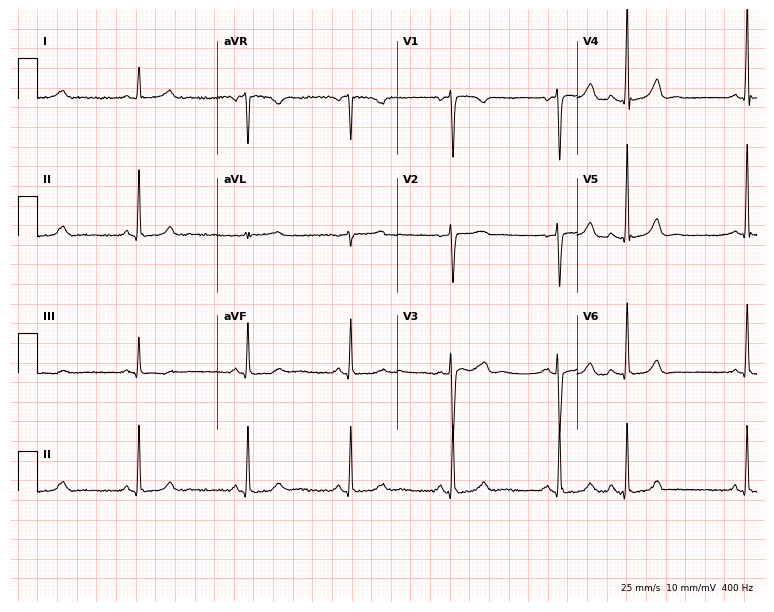
Resting 12-lead electrocardiogram (7.3-second recording at 400 Hz). Patient: a 47-year-old female. Read as a normal ECG.